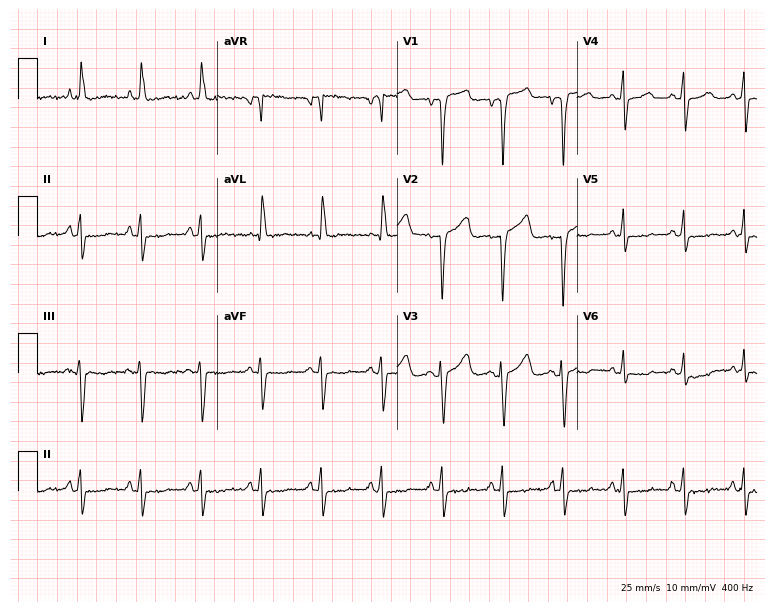
12-lead ECG from a 49-year-old female patient (7.3-second recording at 400 Hz). No first-degree AV block, right bundle branch block, left bundle branch block, sinus bradycardia, atrial fibrillation or sinus tachycardia recorded for this tracing.